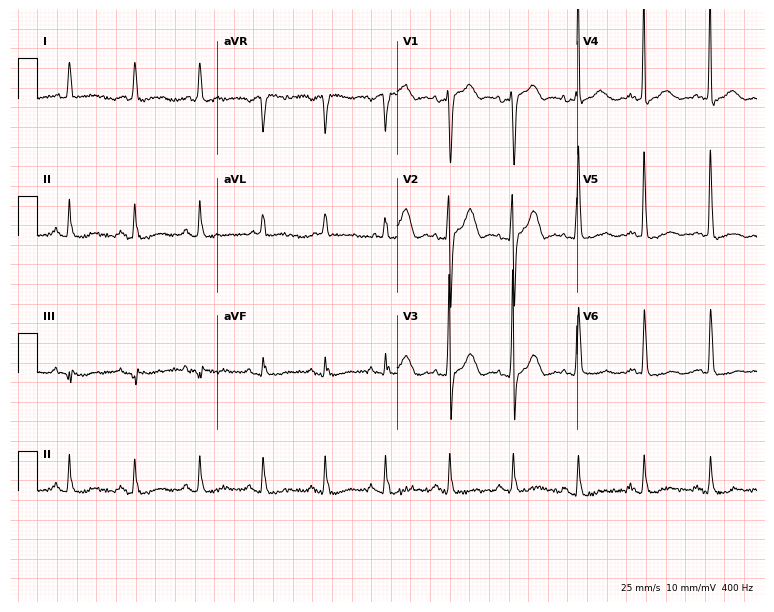
Standard 12-lead ECG recorded from an 84-year-old female patient (7.3-second recording at 400 Hz). None of these six findings is recorded: first-degree AV block, right bundle branch block (RBBB), left bundle branch block (LBBB), sinus bradycardia, atrial fibrillation (AF), sinus tachycardia.